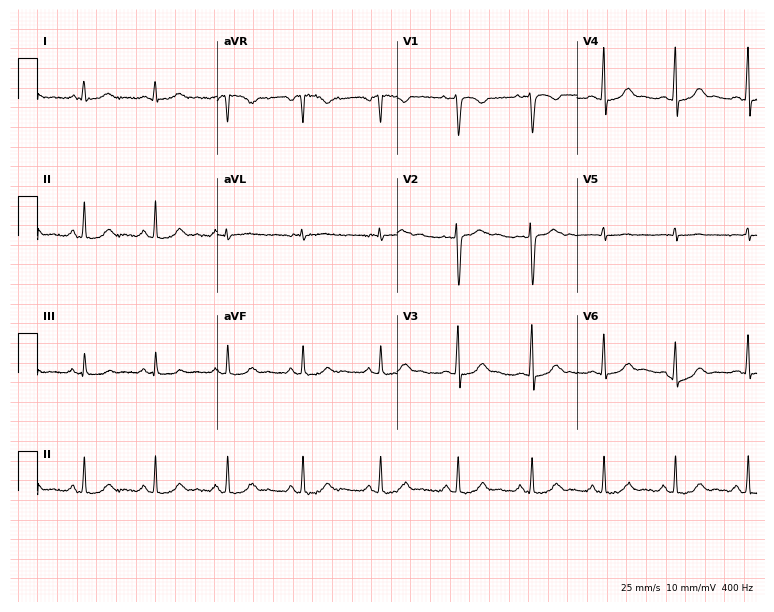
Standard 12-lead ECG recorded from a female patient, 30 years old (7.3-second recording at 400 Hz). Read as a normal ECG.